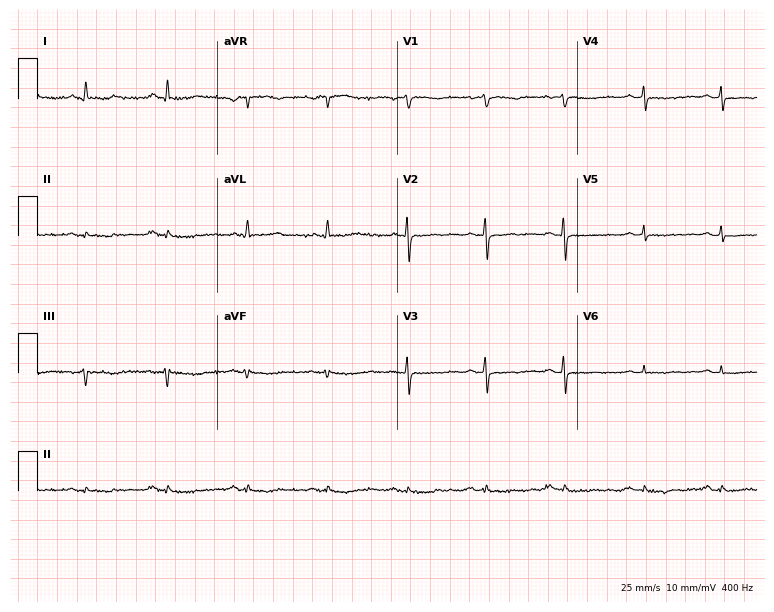
12-lead ECG from a 63-year-old female. Screened for six findings — first-degree AV block, right bundle branch block, left bundle branch block, sinus bradycardia, atrial fibrillation, sinus tachycardia — none is recorded.